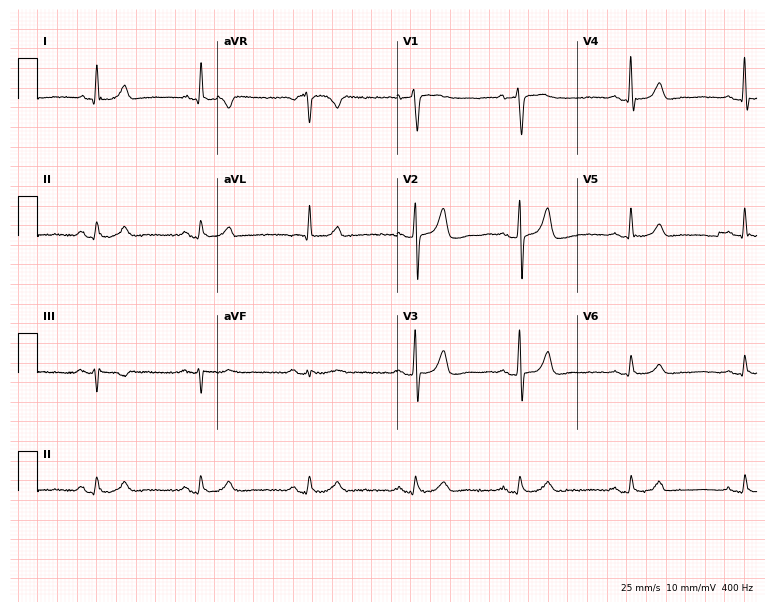
ECG — a 59-year-old male. Labelled as a normal ECG.